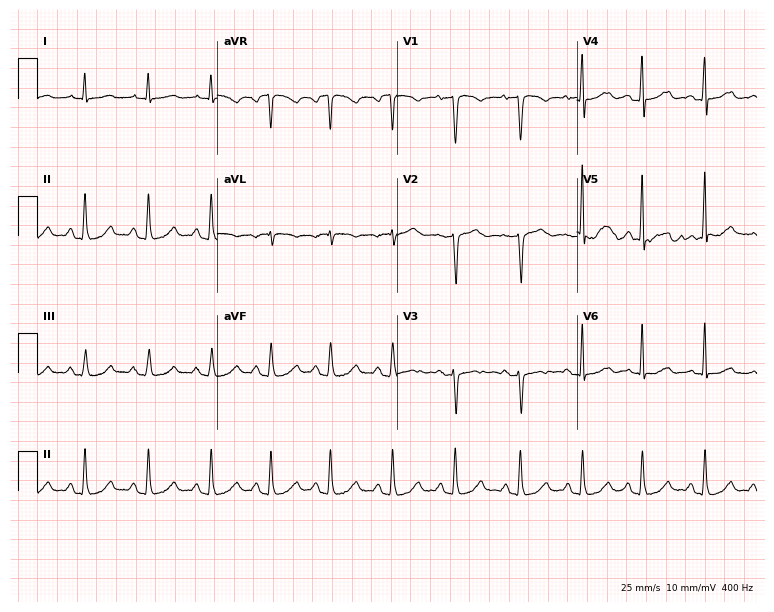
12-lead ECG from a 54-year-old female (7.3-second recording at 400 Hz). Recorded interpretation: within normal limits.